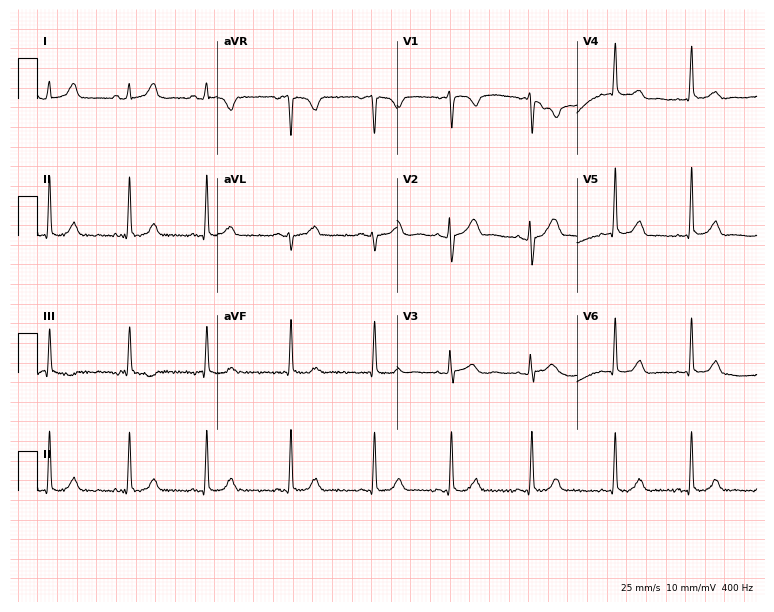
Electrocardiogram, a 22-year-old female. Overall reading on record: normal ECG.